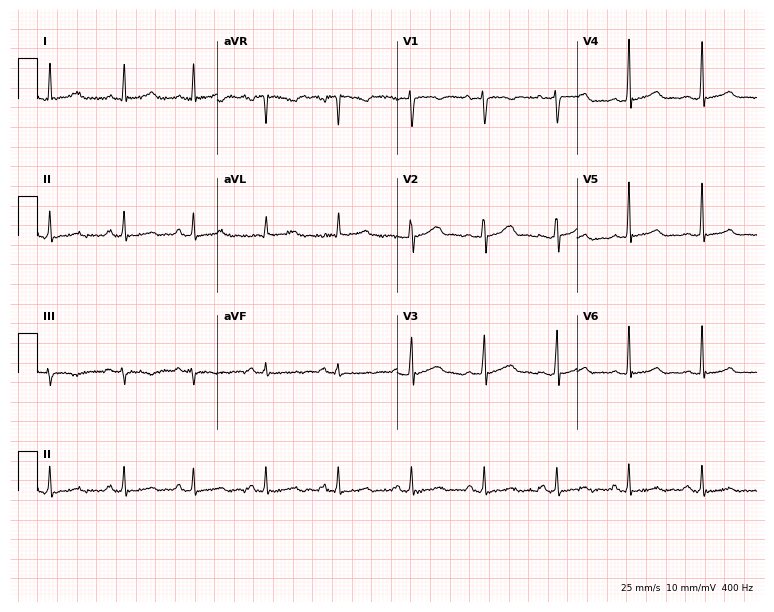
Standard 12-lead ECG recorded from a 40-year-old female patient. None of these six findings is recorded: first-degree AV block, right bundle branch block (RBBB), left bundle branch block (LBBB), sinus bradycardia, atrial fibrillation (AF), sinus tachycardia.